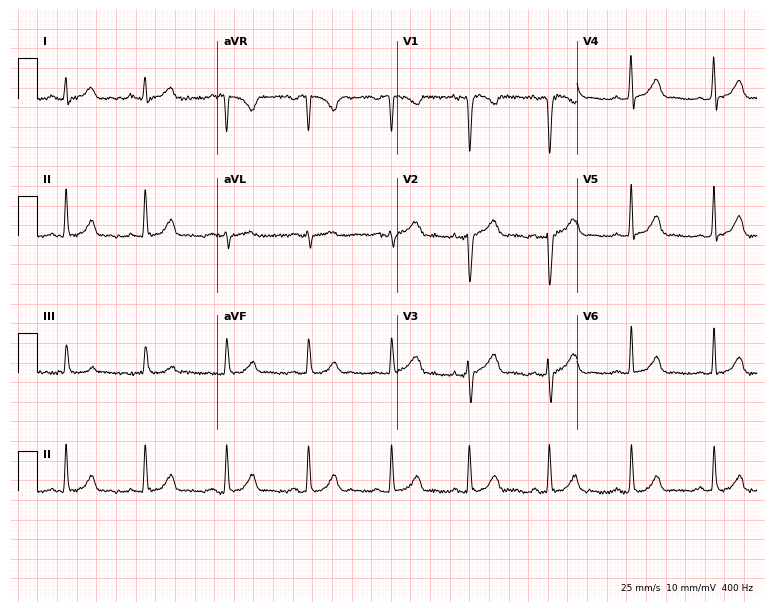
ECG (7.3-second recording at 400 Hz) — a 19-year-old woman. Screened for six findings — first-degree AV block, right bundle branch block (RBBB), left bundle branch block (LBBB), sinus bradycardia, atrial fibrillation (AF), sinus tachycardia — none is recorded.